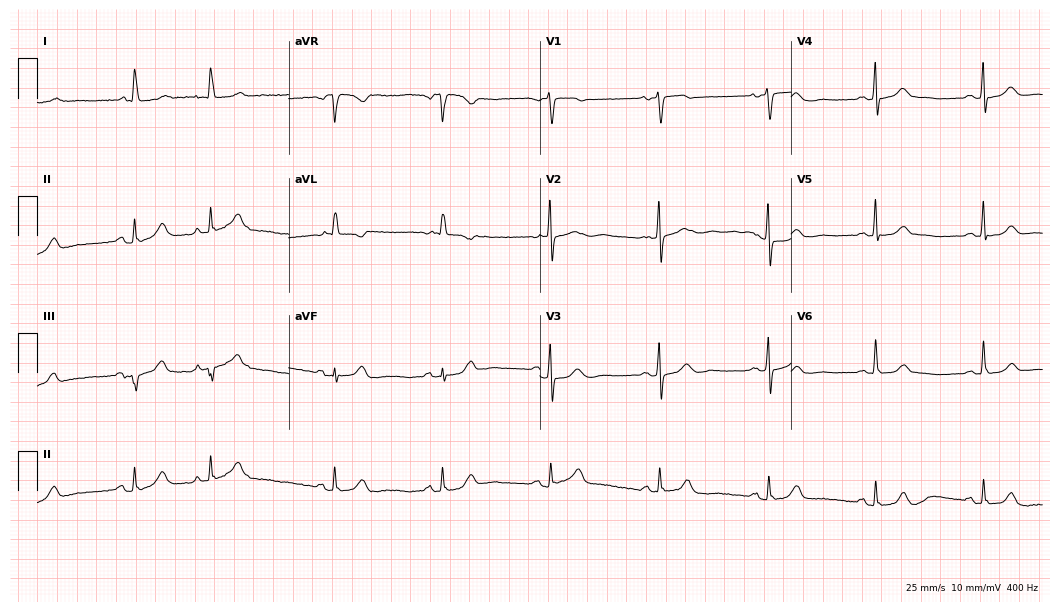
12-lead ECG from a female, 76 years old. Screened for six findings — first-degree AV block, right bundle branch block (RBBB), left bundle branch block (LBBB), sinus bradycardia, atrial fibrillation (AF), sinus tachycardia — none is recorded. Only these six findings were labelled.